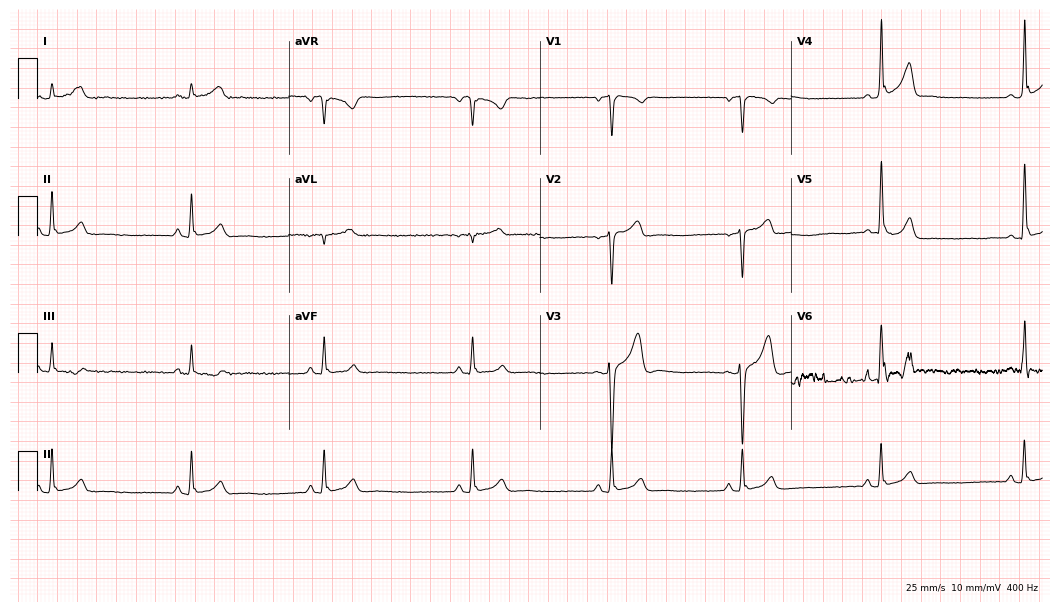
Standard 12-lead ECG recorded from a 32-year-old man (10.2-second recording at 400 Hz). None of these six findings is recorded: first-degree AV block, right bundle branch block, left bundle branch block, sinus bradycardia, atrial fibrillation, sinus tachycardia. Findings outside these six are not listed.